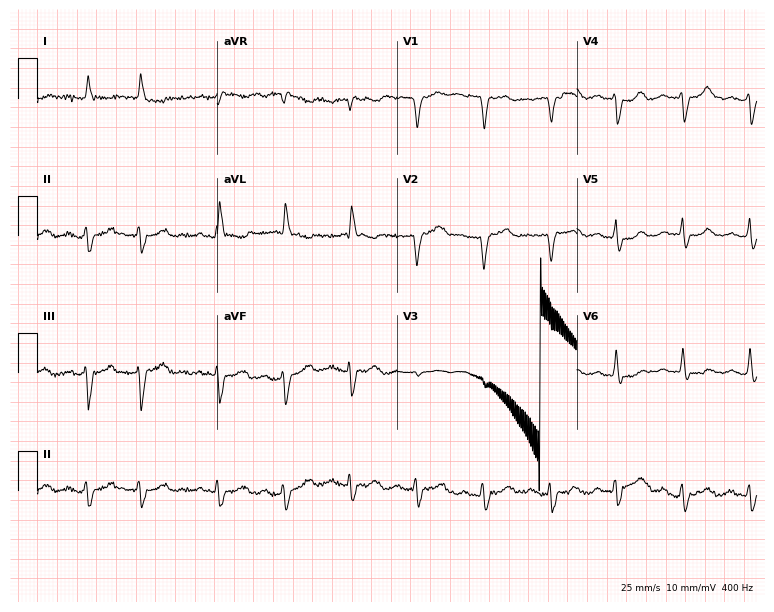
Resting 12-lead electrocardiogram (7.3-second recording at 400 Hz). Patient: a woman, 78 years old. None of these six findings is recorded: first-degree AV block, right bundle branch block, left bundle branch block, sinus bradycardia, atrial fibrillation, sinus tachycardia.